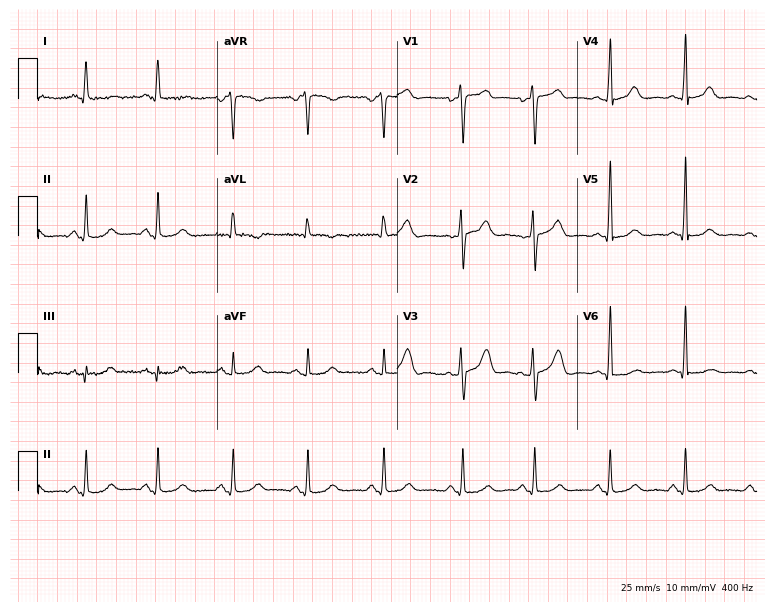
12-lead ECG (7.3-second recording at 400 Hz) from a female patient, 47 years old. Screened for six findings — first-degree AV block, right bundle branch block, left bundle branch block, sinus bradycardia, atrial fibrillation, sinus tachycardia — none is recorded. Other findings, if any, are not listed.